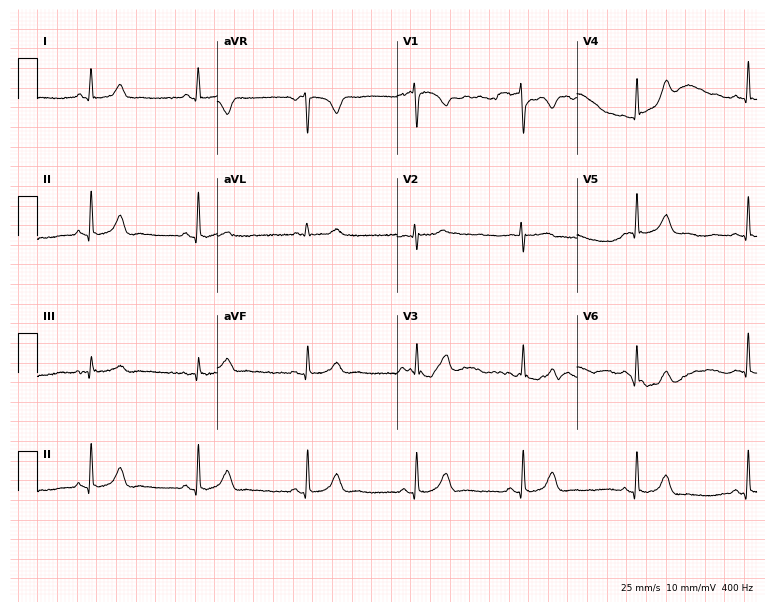
Standard 12-lead ECG recorded from a 31-year-old female. Read as a normal ECG.